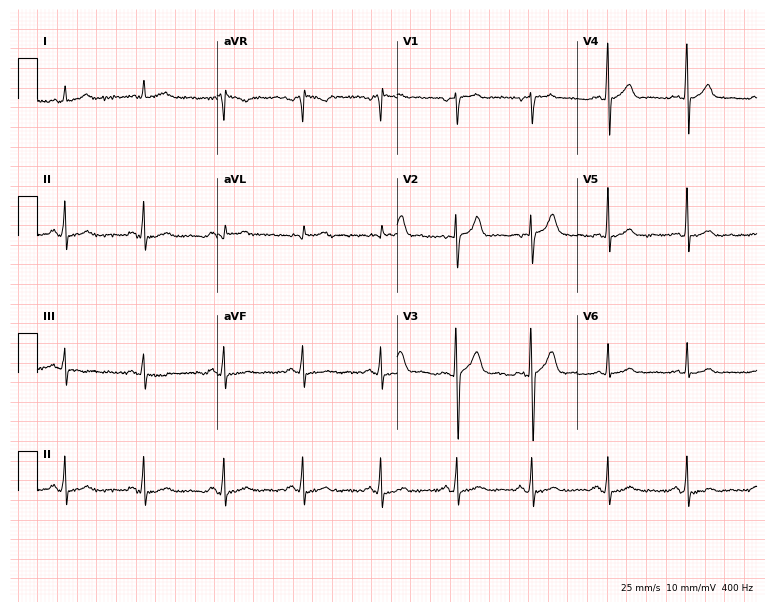
12-lead ECG (7.3-second recording at 400 Hz) from a male patient, 35 years old. Screened for six findings — first-degree AV block, right bundle branch block (RBBB), left bundle branch block (LBBB), sinus bradycardia, atrial fibrillation (AF), sinus tachycardia — none is recorded. Other findings, if any, are not listed.